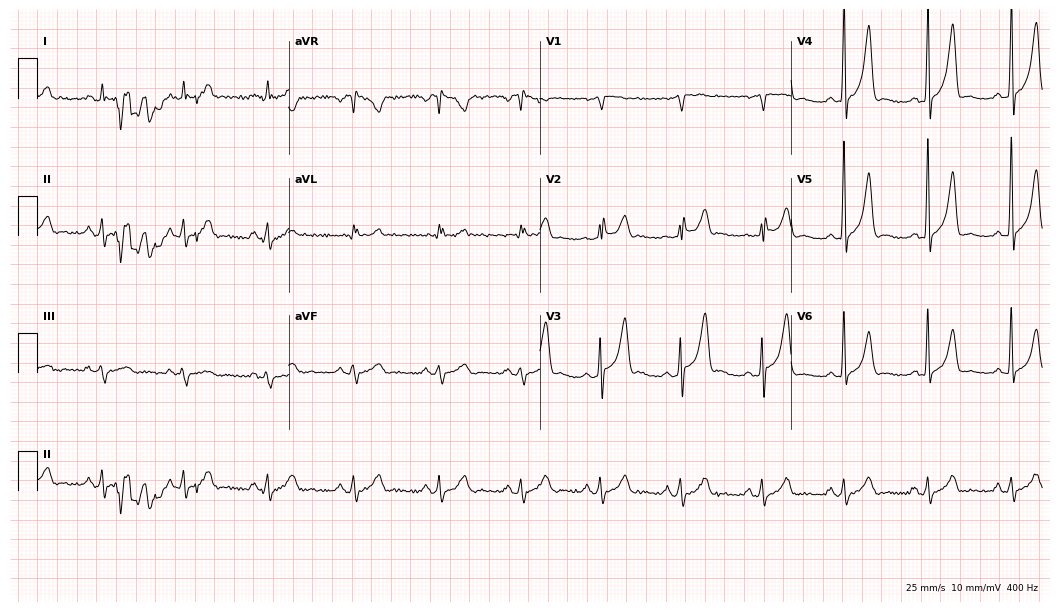
ECG — a 39-year-old male patient. Screened for six findings — first-degree AV block, right bundle branch block, left bundle branch block, sinus bradycardia, atrial fibrillation, sinus tachycardia — none is recorded.